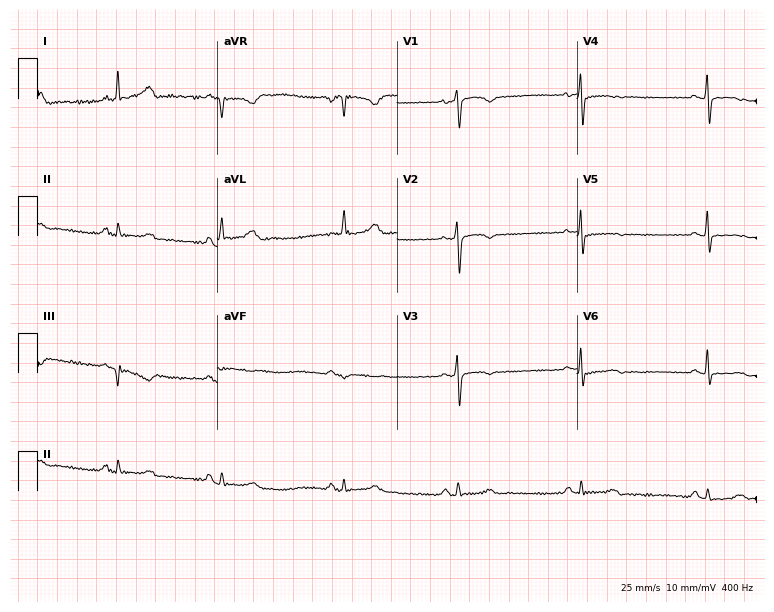
Electrocardiogram, a female, 51 years old. Of the six screened findings (first-degree AV block, right bundle branch block (RBBB), left bundle branch block (LBBB), sinus bradycardia, atrial fibrillation (AF), sinus tachycardia), none is recorded.